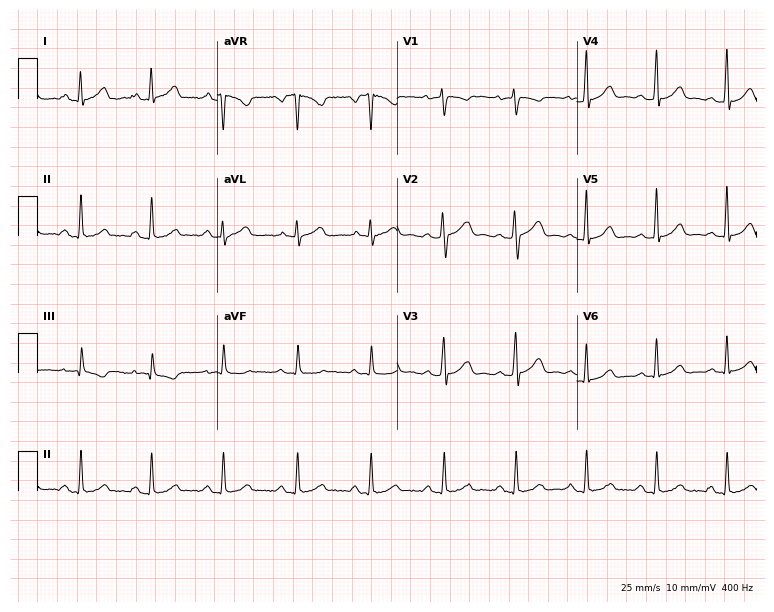
Resting 12-lead electrocardiogram (7.3-second recording at 400 Hz). Patient: a female, 34 years old. None of these six findings is recorded: first-degree AV block, right bundle branch block, left bundle branch block, sinus bradycardia, atrial fibrillation, sinus tachycardia. Other findings, if any, are not listed.